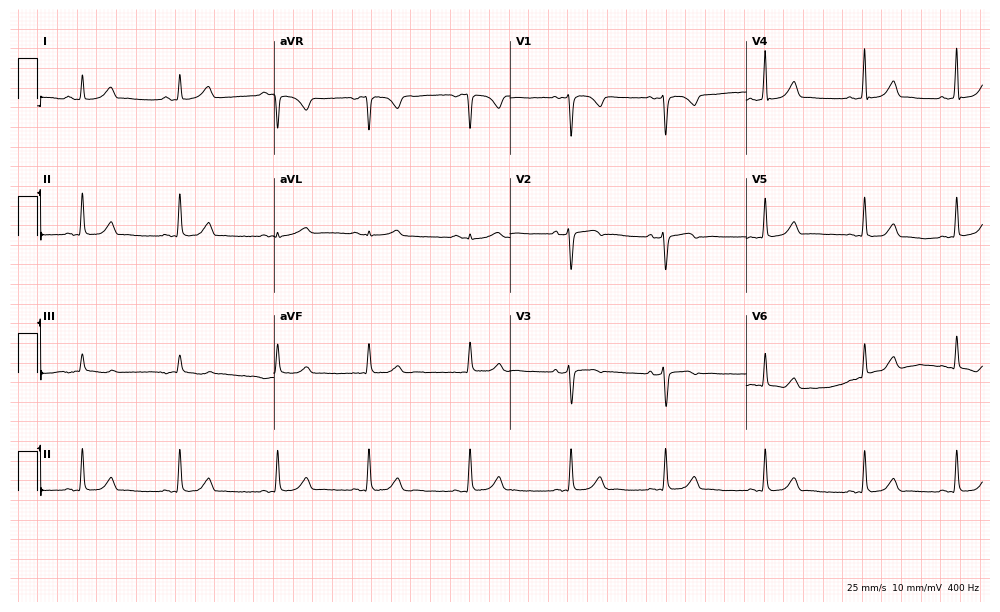
Resting 12-lead electrocardiogram (9.6-second recording at 400 Hz). Patient: a 38-year-old woman. Read as a normal ECG.